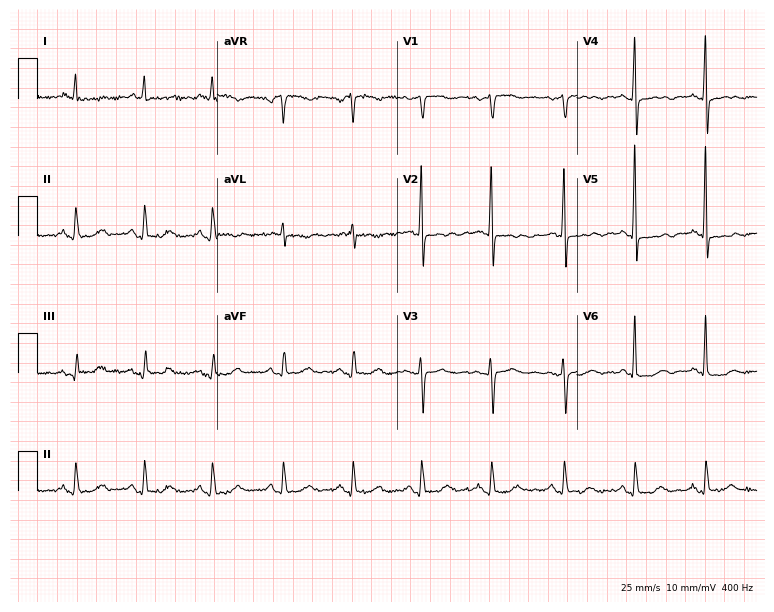
Resting 12-lead electrocardiogram (7.3-second recording at 400 Hz). Patient: a female, 80 years old. None of these six findings is recorded: first-degree AV block, right bundle branch block, left bundle branch block, sinus bradycardia, atrial fibrillation, sinus tachycardia.